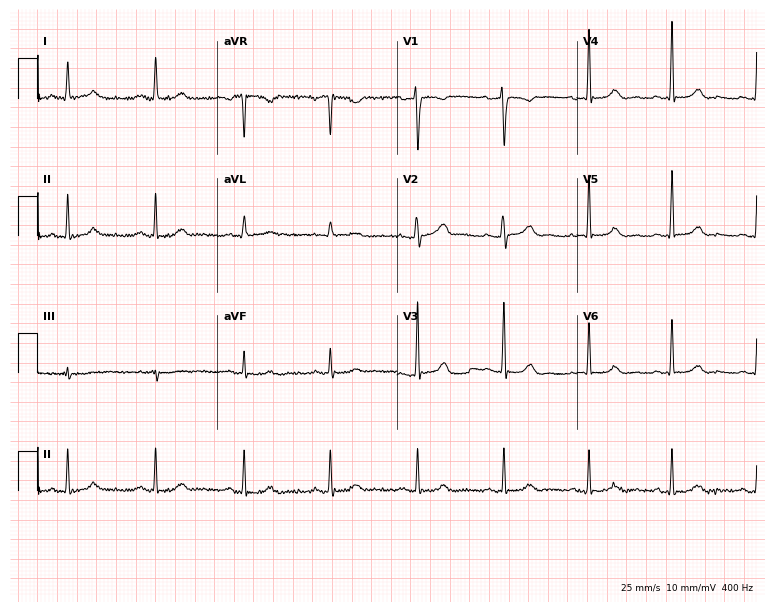
Electrocardiogram, a female patient, 43 years old. Of the six screened findings (first-degree AV block, right bundle branch block, left bundle branch block, sinus bradycardia, atrial fibrillation, sinus tachycardia), none is recorded.